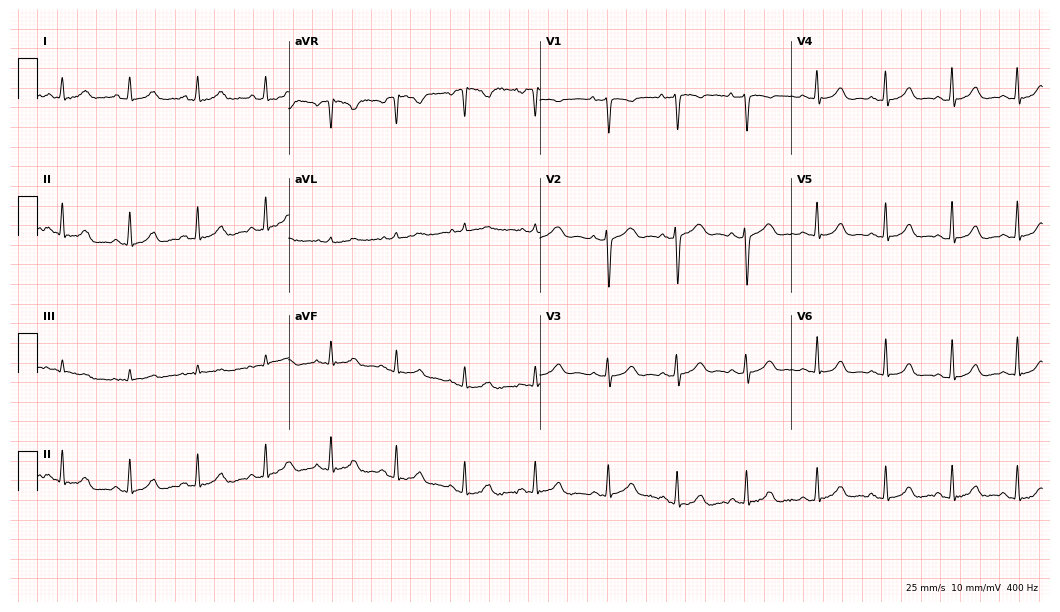
ECG — a female patient, 25 years old. Screened for six findings — first-degree AV block, right bundle branch block, left bundle branch block, sinus bradycardia, atrial fibrillation, sinus tachycardia — none is recorded. Only these six findings were labelled.